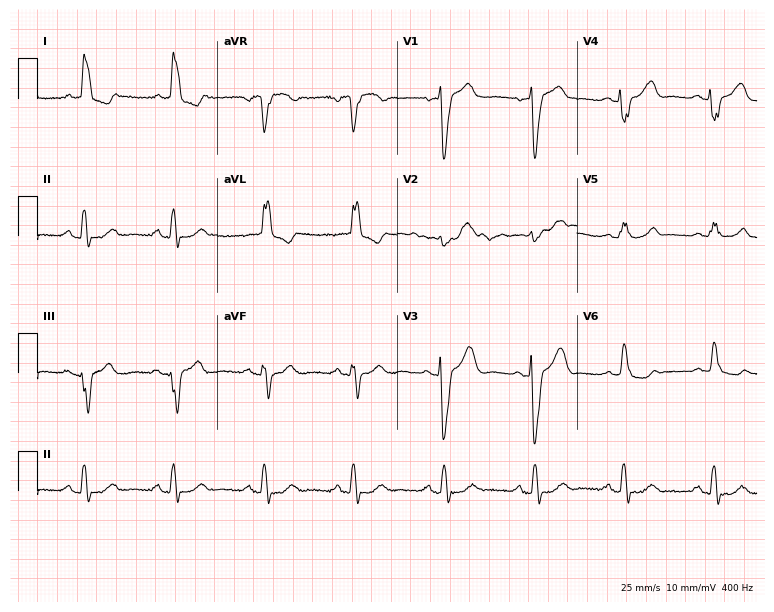
ECG — a 68-year-old female patient. Findings include left bundle branch block (LBBB).